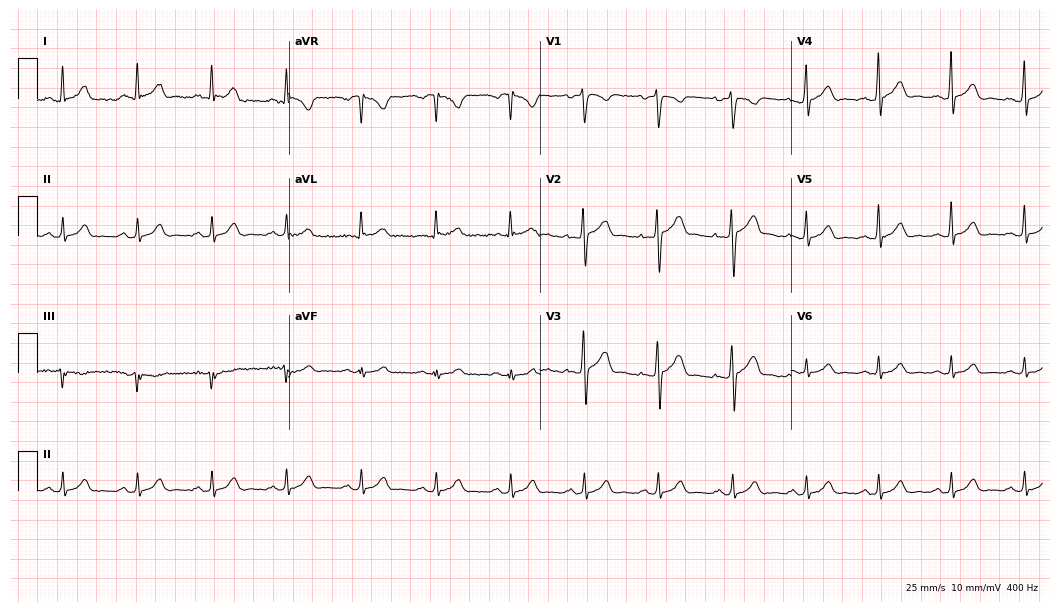
Electrocardiogram (10.2-second recording at 400 Hz), a 43-year-old male. Overall reading on record: normal ECG.